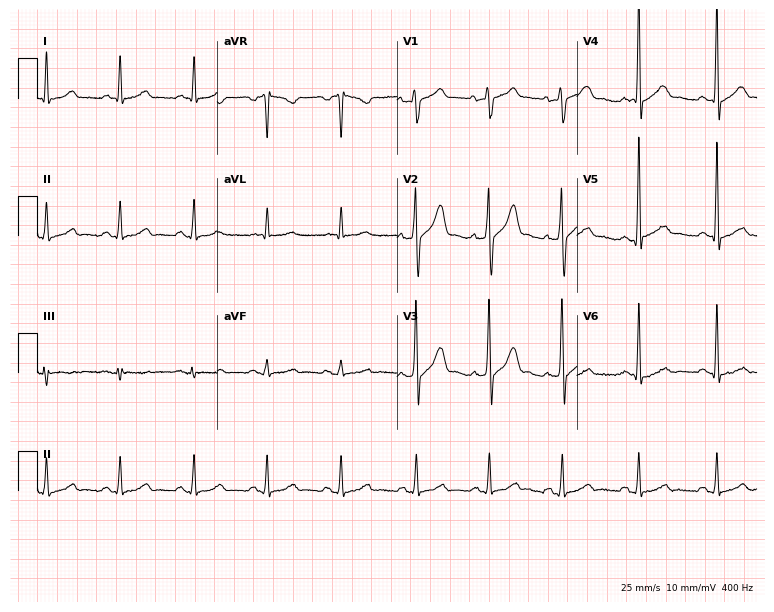
12-lead ECG from a male patient, 58 years old (7.3-second recording at 400 Hz). Recorded interpretation: within normal limits.